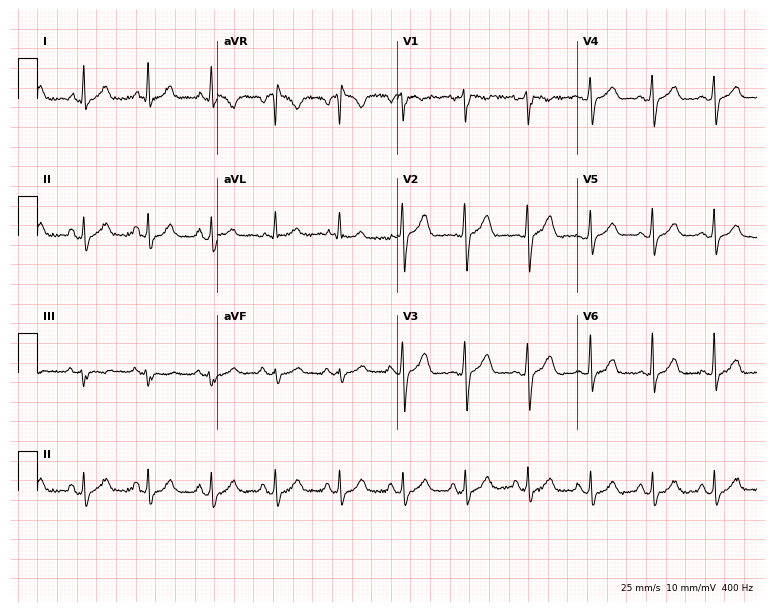
Standard 12-lead ECG recorded from a woman, 46 years old (7.3-second recording at 400 Hz). Read as a normal ECG.